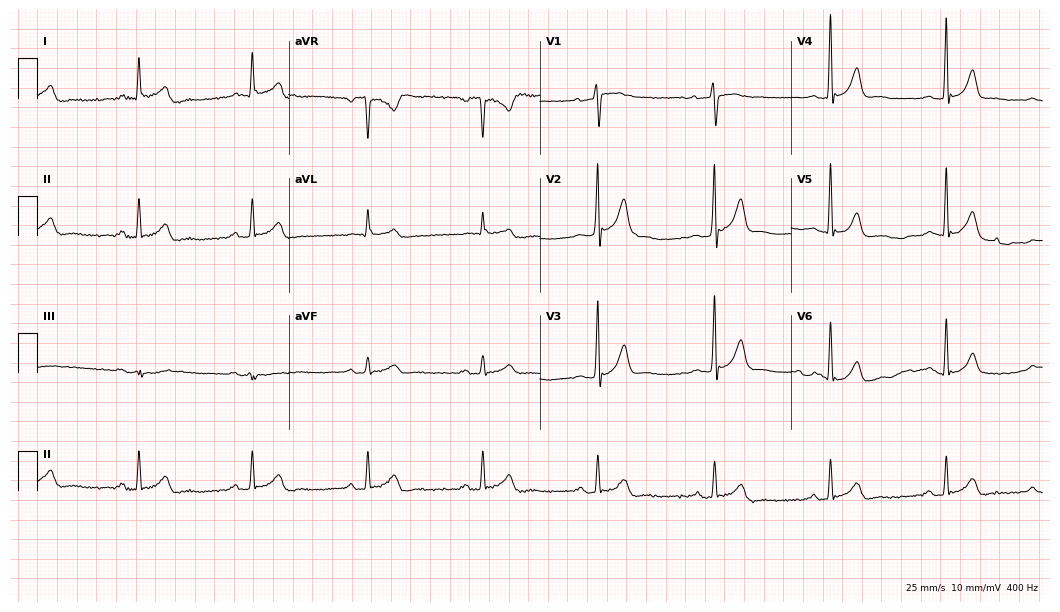
Resting 12-lead electrocardiogram (10.2-second recording at 400 Hz). Patient: a 53-year-old man. Read as a normal ECG.